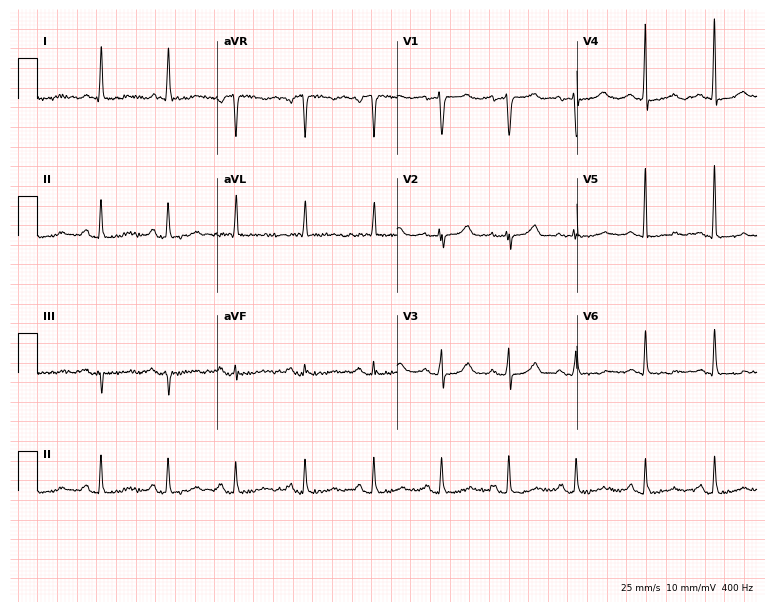
Standard 12-lead ECG recorded from a woman, 73 years old (7.3-second recording at 400 Hz). Read as a normal ECG.